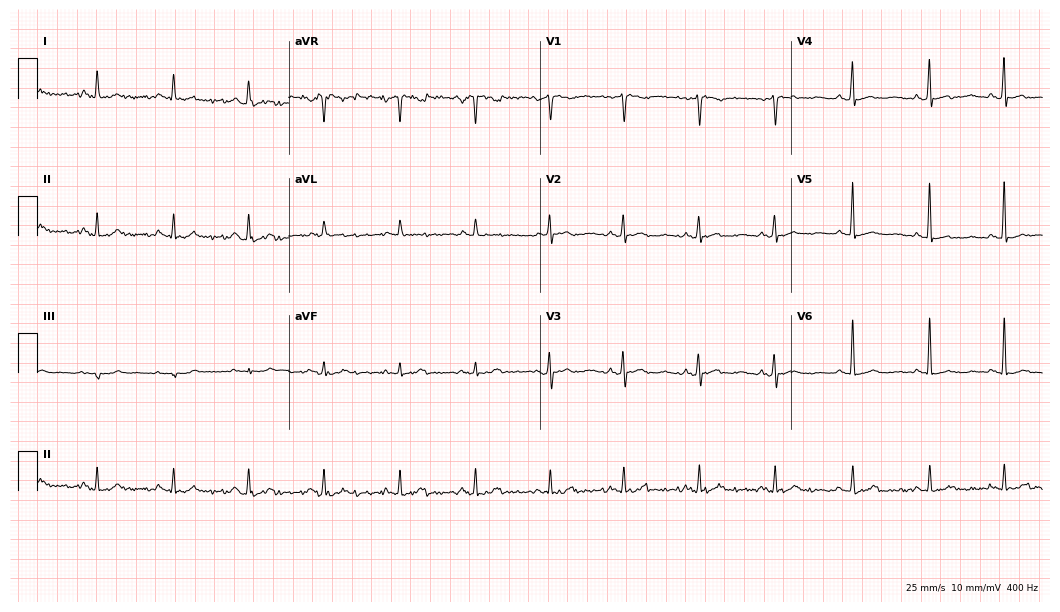
Standard 12-lead ECG recorded from a 50-year-old female patient (10.2-second recording at 400 Hz). None of these six findings is recorded: first-degree AV block, right bundle branch block (RBBB), left bundle branch block (LBBB), sinus bradycardia, atrial fibrillation (AF), sinus tachycardia.